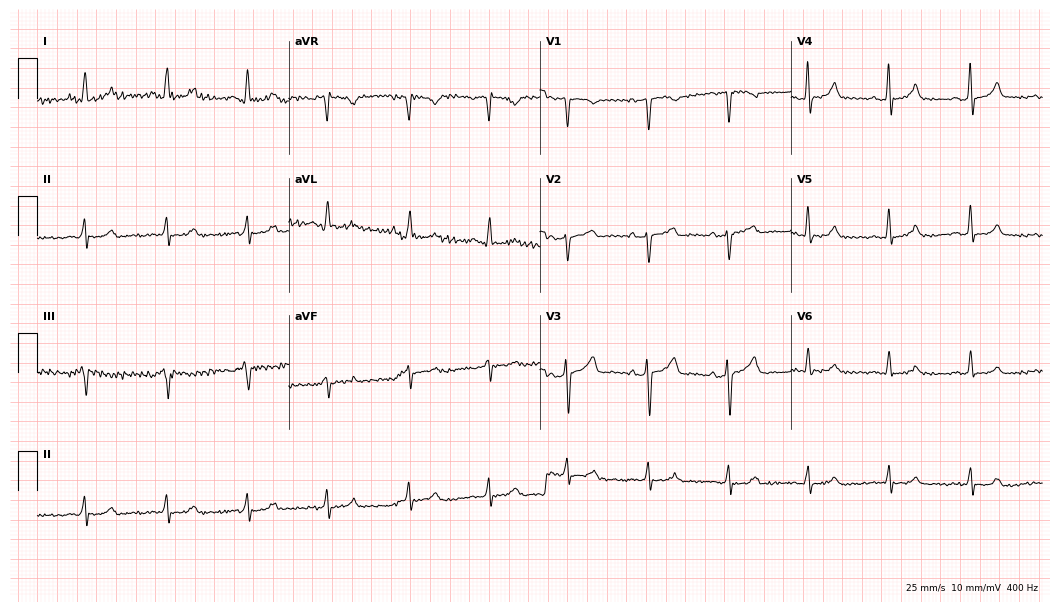
12-lead ECG from a 46-year-old female. No first-degree AV block, right bundle branch block (RBBB), left bundle branch block (LBBB), sinus bradycardia, atrial fibrillation (AF) or sinus tachycardia recorded for this tracing. Findings outside these six are not listed.